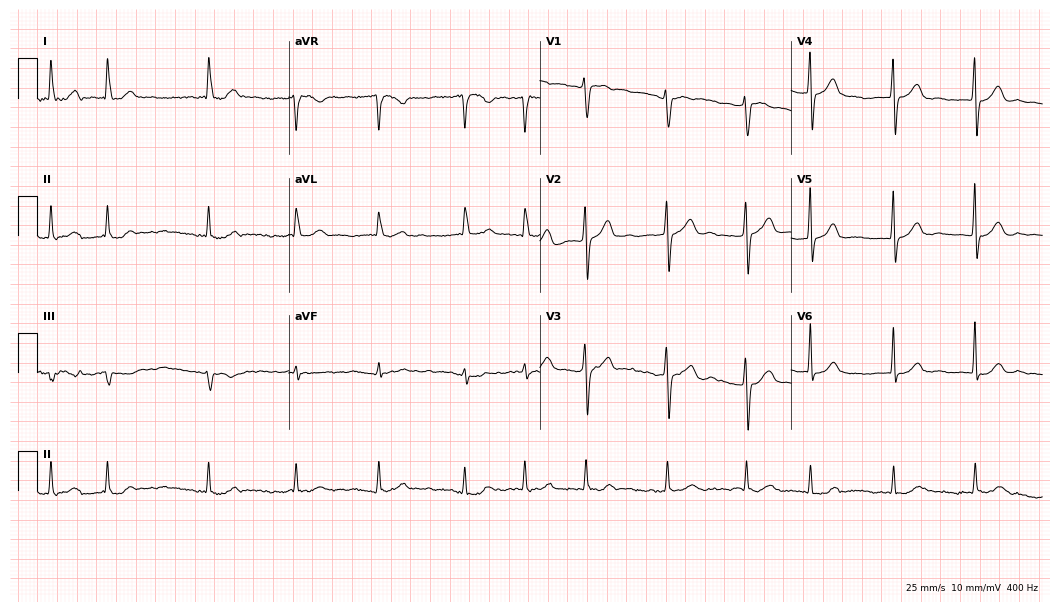
12-lead ECG from a female, 80 years old. Findings include atrial fibrillation.